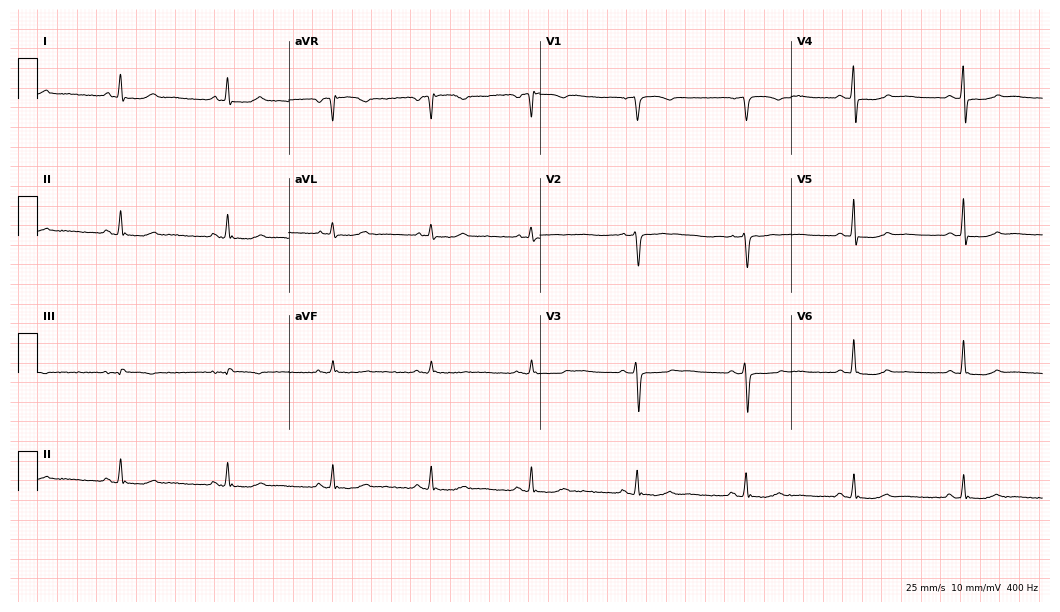
12-lead ECG from a woman, 53 years old. Screened for six findings — first-degree AV block, right bundle branch block, left bundle branch block, sinus bradycardia, atrial fibrillation, sinus tachycardia — none is recorded.